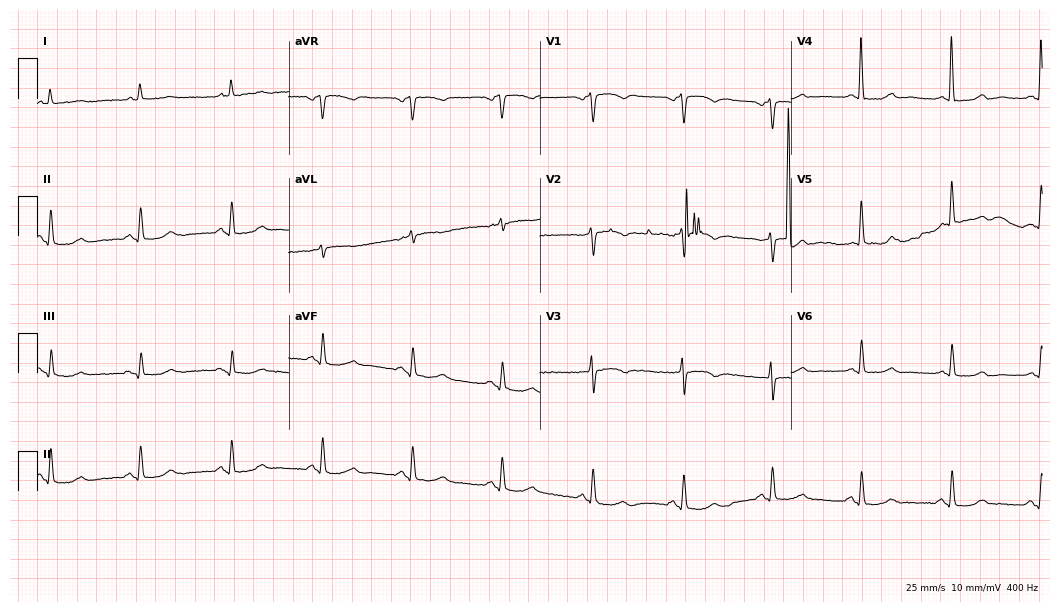
Electrocardiogram (10.2-second recording at 400 Hz), a 74-year-old female patient. Of the six screened findings (first-degree AV block, right bundle branch block (RBBB), left bundle branch block (LBBB), sinus bradycardia, atrial fibrillation (AF), sinus tachycardia), none is recorded.